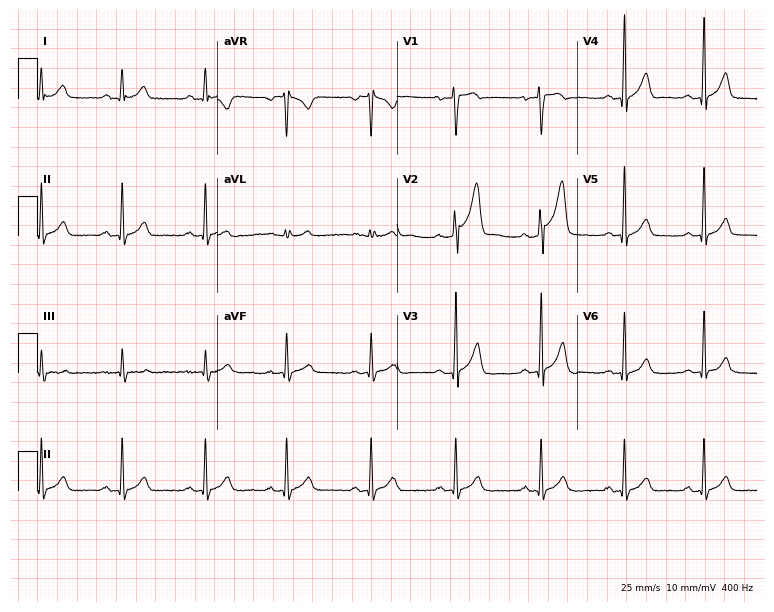
Electrocardiogram (7.3-second recording at 400 Hz), a male, 31 years old. Of the six screened findings (first-degree AV block, right bundle branch block, left bundle branch block, sinus bradycardia, atrial fibrillation, sinus tachycardia), none is recorded. Only these six findings were labelled.